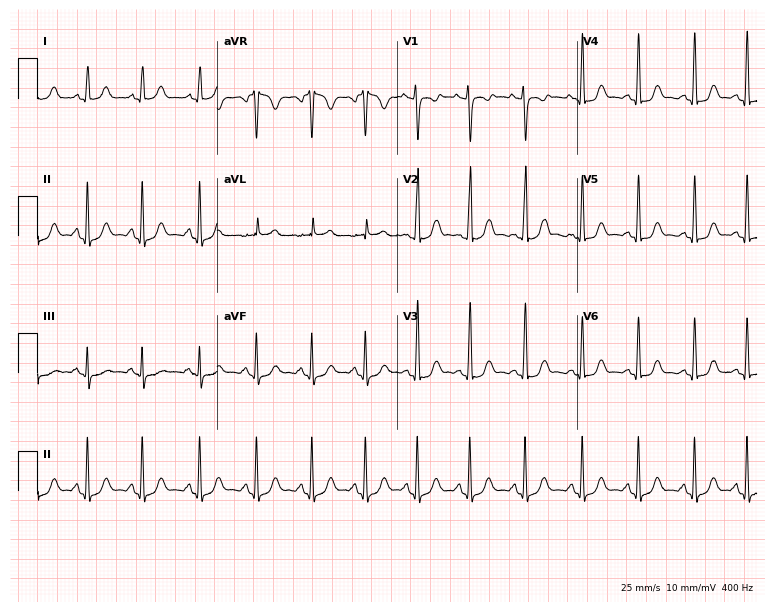
12-lead ECG from a 21-year-old female patient. Findings include sinus tachycardia (a sinus rate of 100 beats per minute or more).